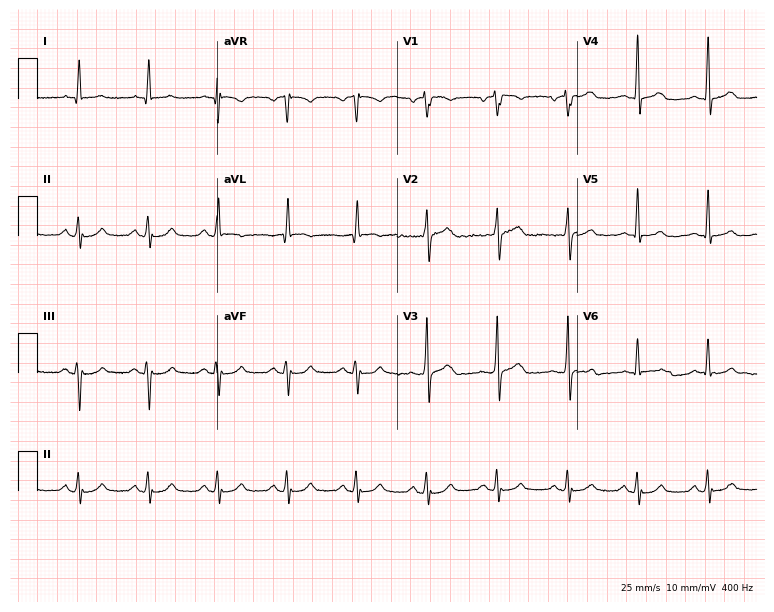
ECG — a 74-year-old man. Labelled as a normal ECG.